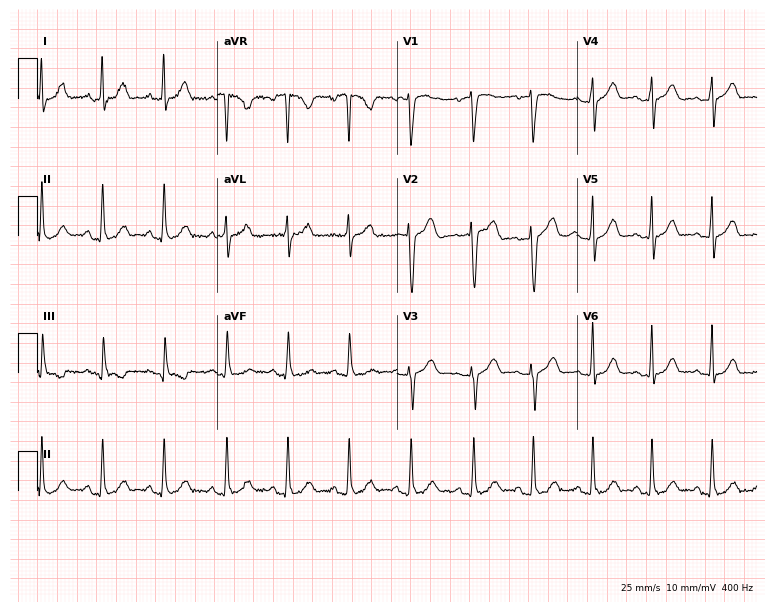
Standard 12-lead ECG recorded from a 32-year-old woman (7.3-second recording at 400 Hz). Read as a normal ECG.